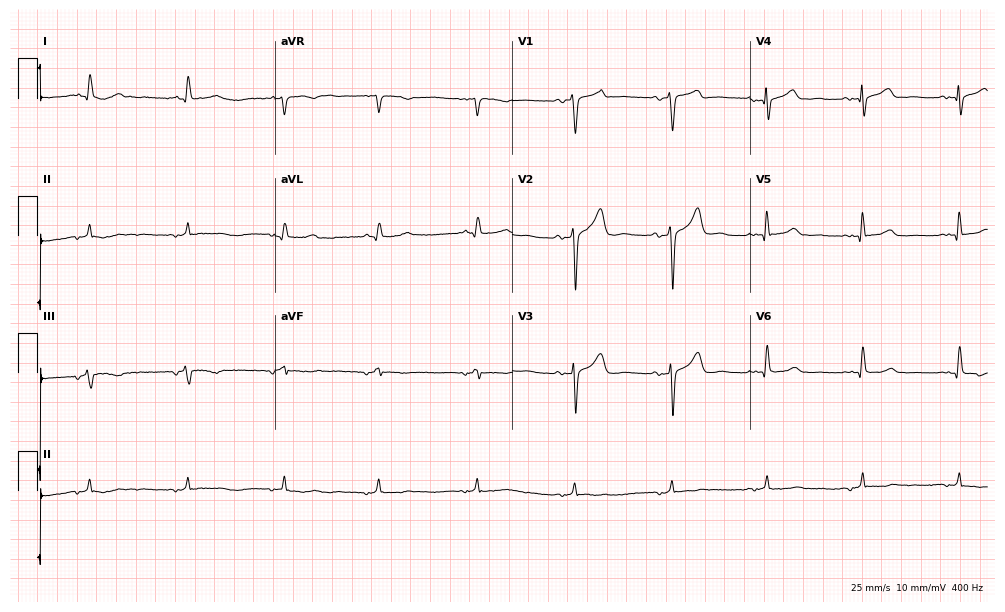
Electrocardiogram (9.7-second recording at 400 Hz), a 79-year-old male patient. Of the six screened findings (first-degree AV block, right bundle branch block, left bundle branch block, sinus bradycardia, atrial fibrillation, sinus tachycardia), none is recorded. Only these six findings were labelled.